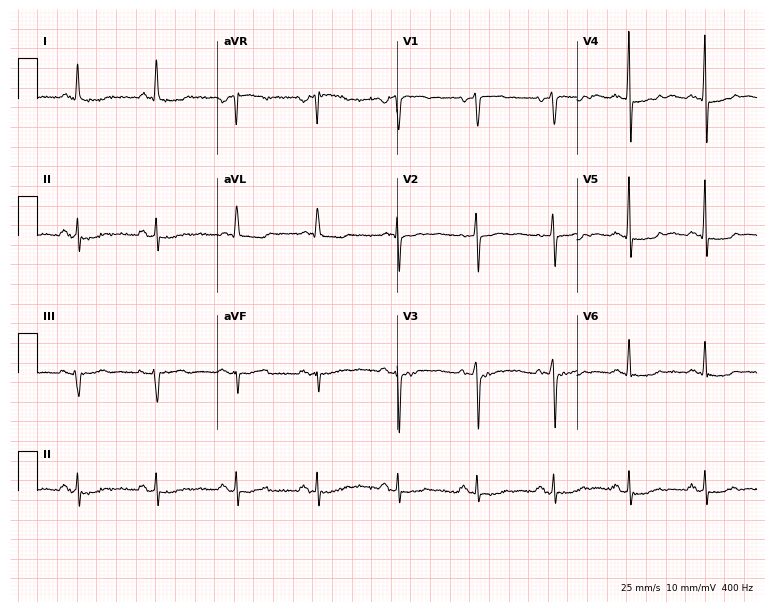
ECG (7.3-second recording at 400 Hz) — a 58-year-old man. Screened for six findings — first-degree AV block, right bundle branch block, left bundle branch block, sinus bradycardia, atrial fibrillation, sinus tachycardia — none is recorded.